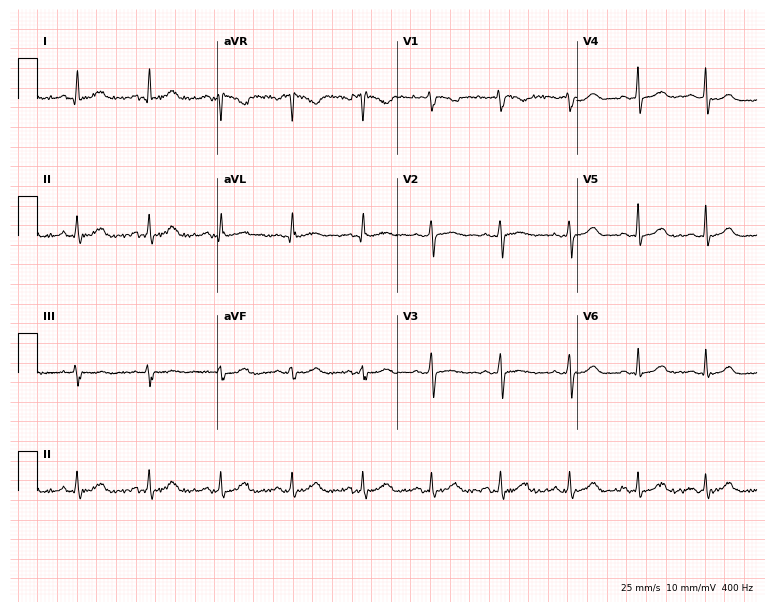
12-lead ECG from a female, 47 years old. No first-degree AV block, right bundle branch block, left bundle branch block, sinus bradycardia, atrial fibrillation or sinus tachycardia recorded for this tracing.